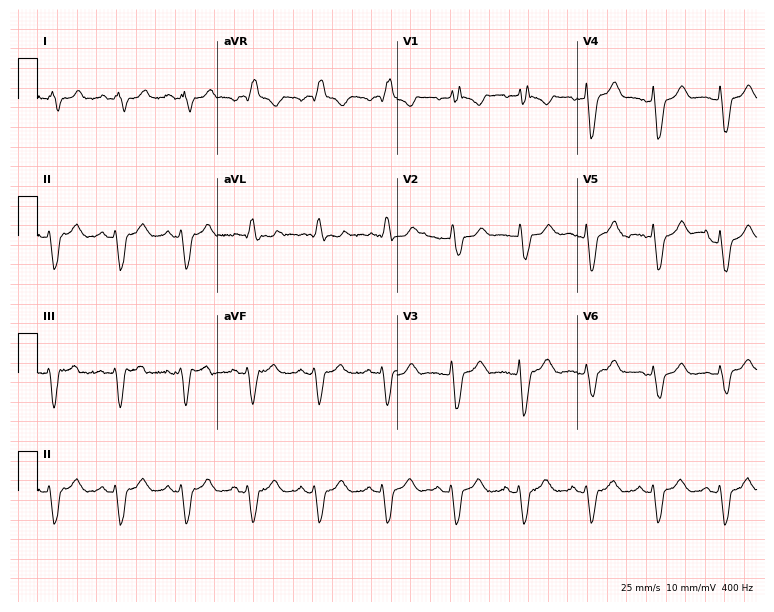
Standard 12-lead ECG recorded from a man, 70 years old. The tracing shows left bundle branch block (LBBB).